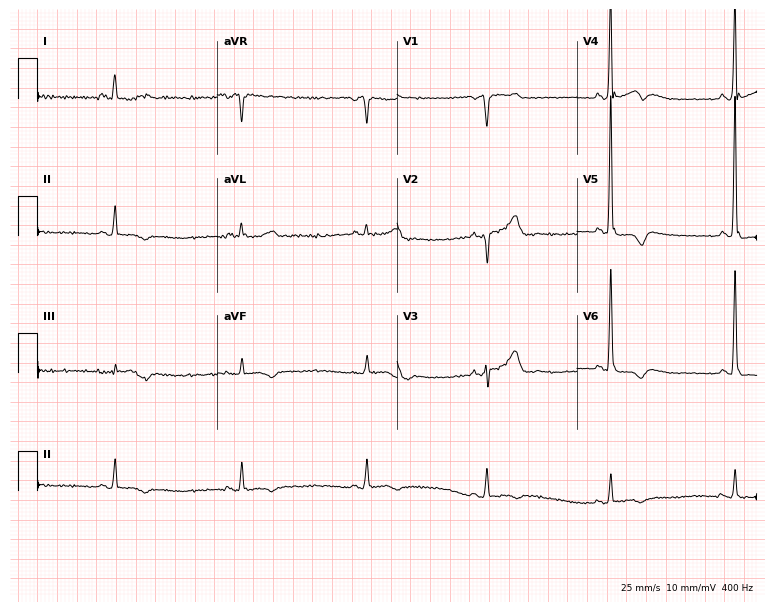
Electrocardiogram (7.3-second recording at 400 Hz), a 53-year-old male. Of the six screened findings (first-degree AV block, right bundle branch block (RBBB), left bundle branch block (LBBB), sinus bradycardia, atrial fibrillation (AF), sinus tachycardia), none is recorded.